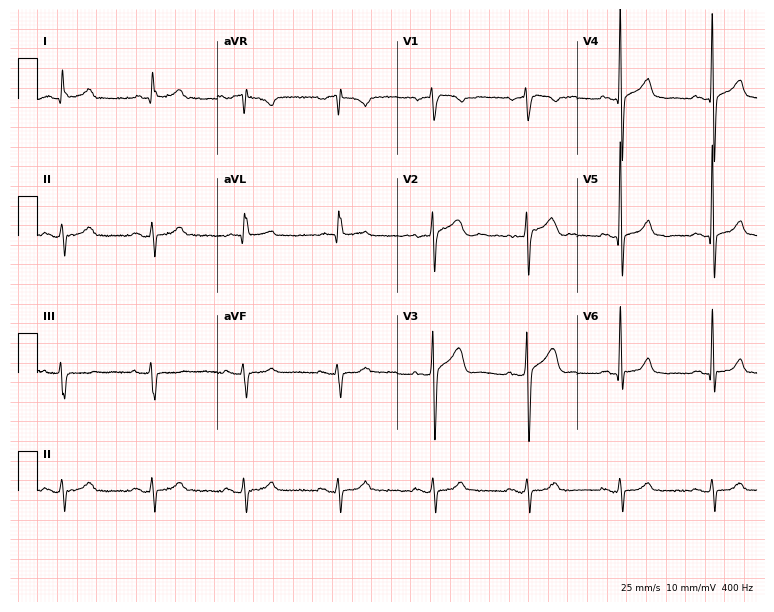
Standard 12-lead ECG recorded from a 59-year-old male. None of these six findings is recorded: first-degree AV block, right bundle branch block, left bundle branch block, sinus bradycardia, atrial fibrillation, sinus tachycardia.